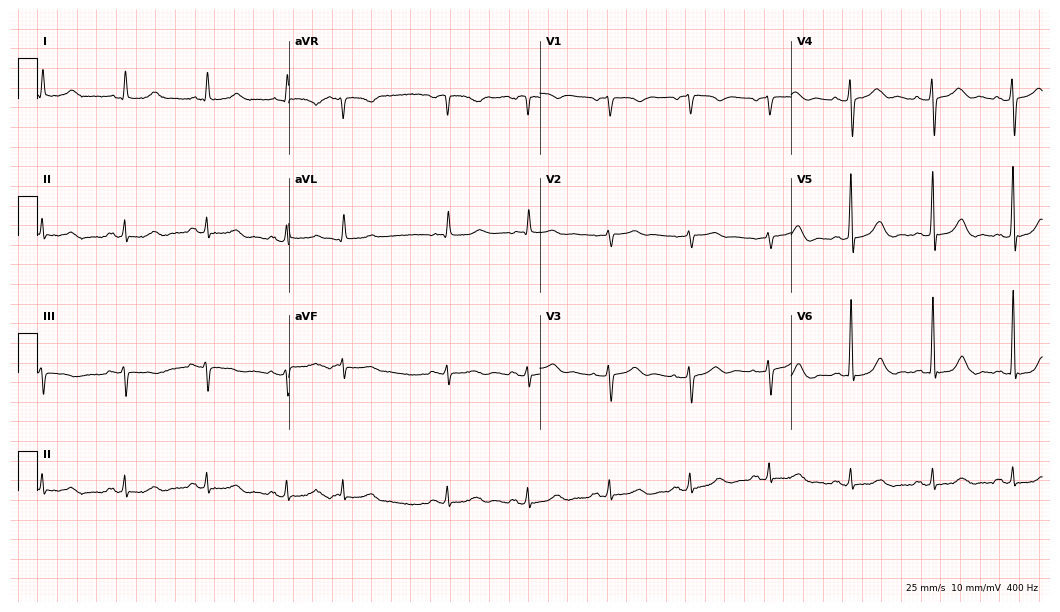
Resting 12-lead electrocardiogram (10.2-second recording at 400 Hz). Patient: a 67-year-old woman. None of these six findings is recorded: first-degree AV block, right bundle branch block (RBBB), left bundle branch block (LBBB), sinus bradycardia, atrial fibrillation (AF), sinus tachycardia. Other findings, if any, are not listed.